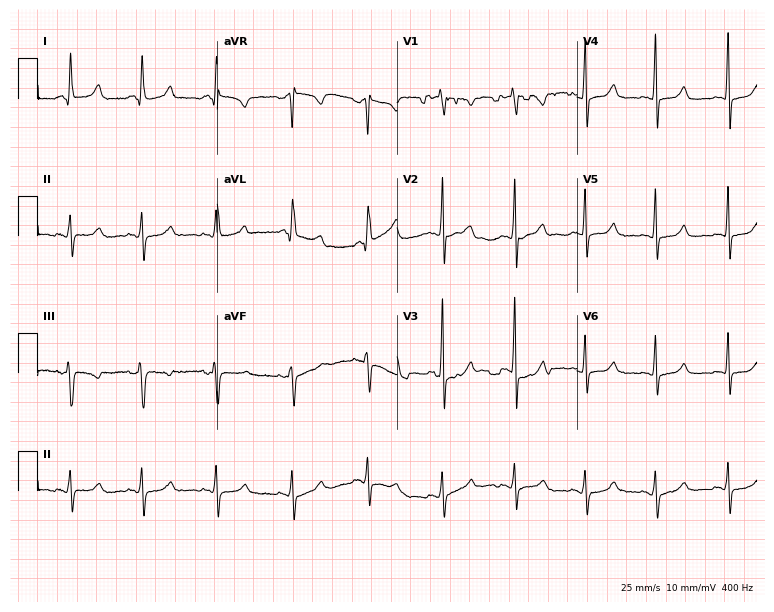
Resting 12-lead electrocardiogram (7.3-second recording at 400 Hz). Patient: a female, 38 years old. Read as a normal ECG.